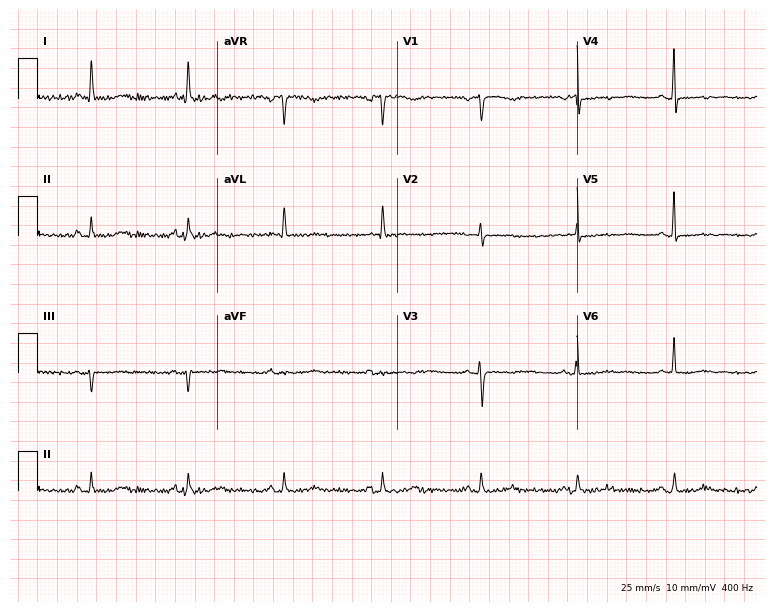
12-lead ECG (7.3-second recording at 400 Hz) from an 82-year-old woman. Screened for six findings — first-degree AV block, right bundle branch block (RBBB), left bundle branch block (LBBB), sinus bradycardia, atrial fibrillation (AF), sinus tachycardia — none is recorded.